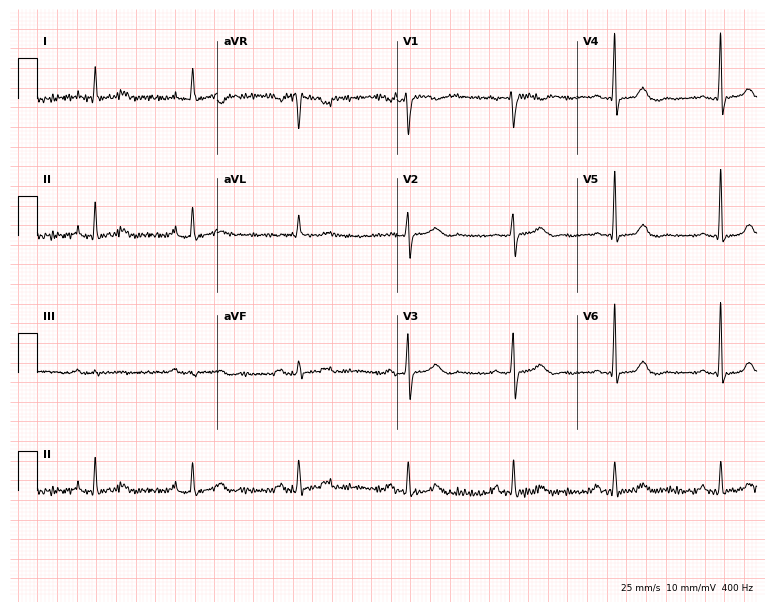
Resting 12-lead electrocardiogram (7.3-second recording at 400 Hz). Patient: a woman, 48 years old. None of these six findings is recorded: first-degree AV block, right bundle branch block, left bundle branch block, sinus bradycardia, atrial fibrillation, sinus tachycardia. Findings outside these six are not listed.